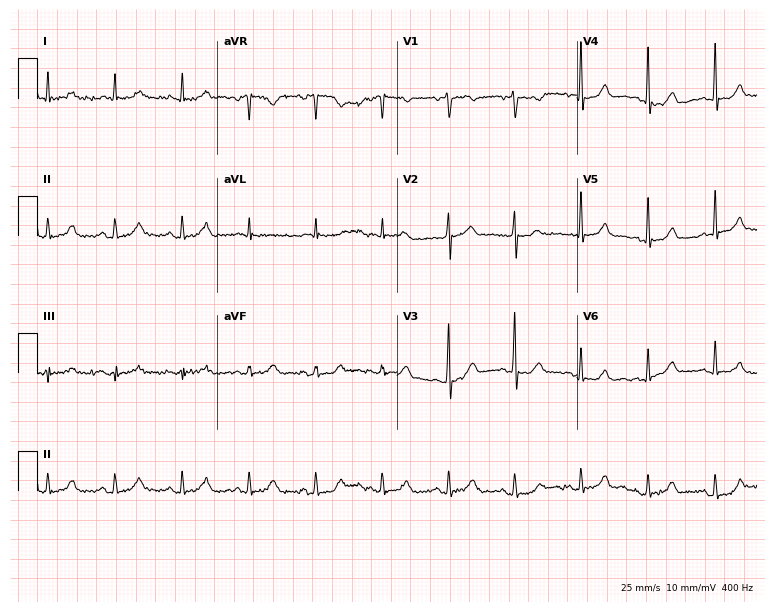
Electrocardiogram (7.3-second recording at 400 Hz), a male patient, 58 years old. Overall reading on record: normal ECG.